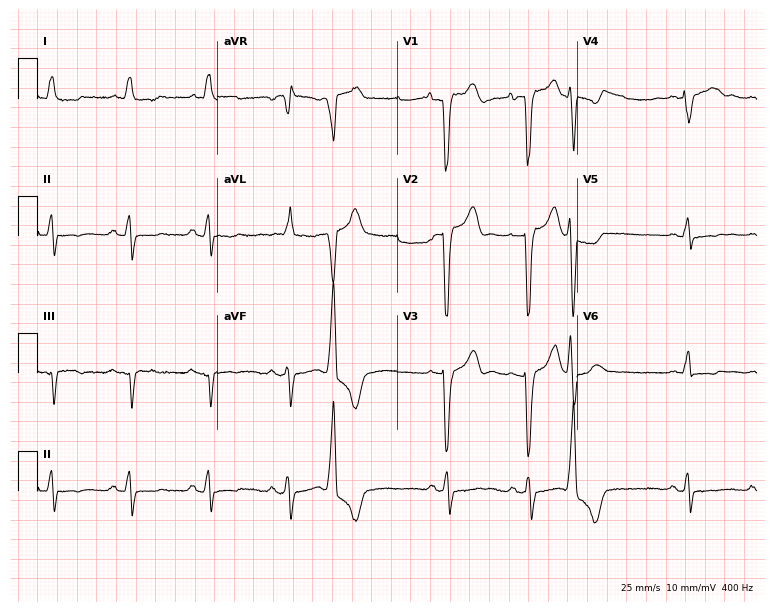
Resting 12-lead electrocardiogram (7.3-second recording at 400 Hz). Patient: a man, 77 years old. The tracing shows left bundle branch block.